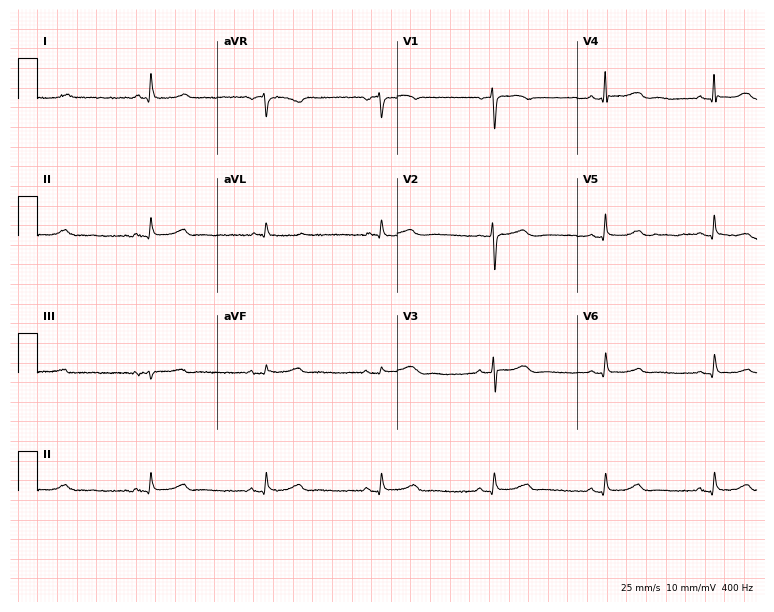
Standard 12-lead ECG recorded from a woman, 69 years old. Read as a normal ECG.